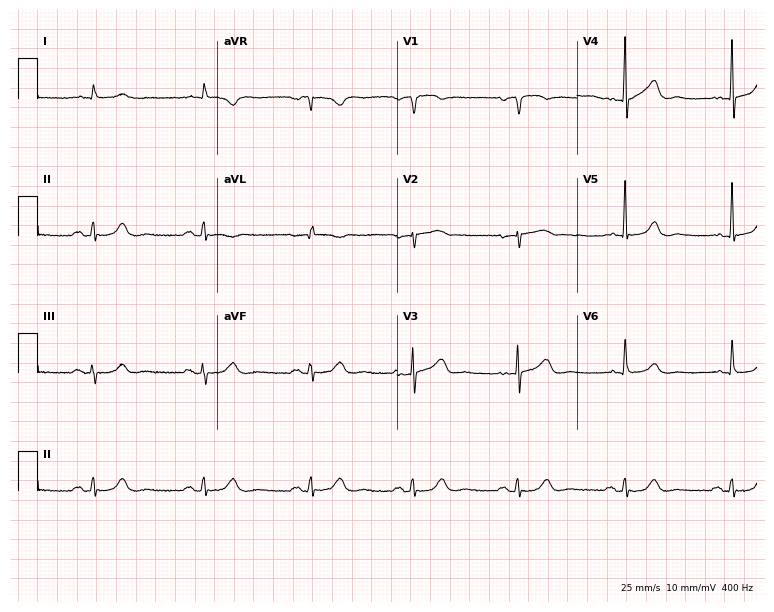
ECG (7.3-second recording at 400 Hz) — a male, 78 years old. Labelled as a normal ECG.